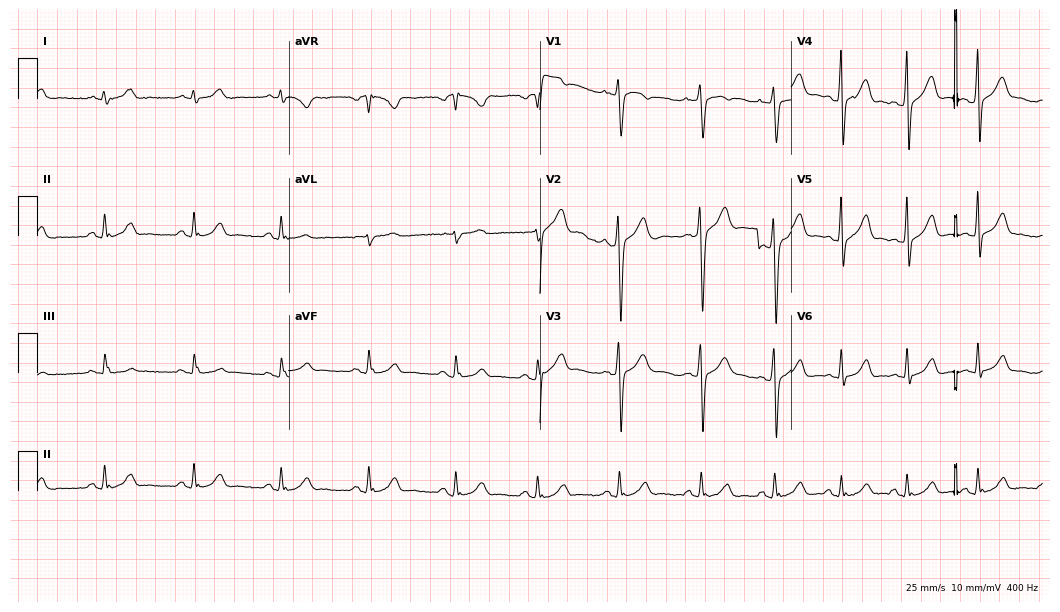
12-lead ECG from a male, 31 years old. Recorded interpretation: within normal limits.